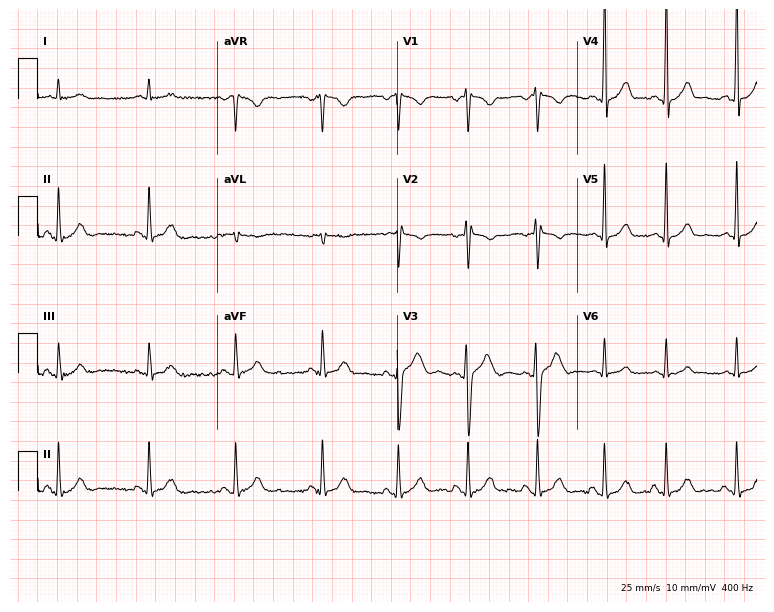
12-lead ECG from a male patient, 24 years old (7.3-second recording at 400 Hz). Recorded interpretation: within normal limits.